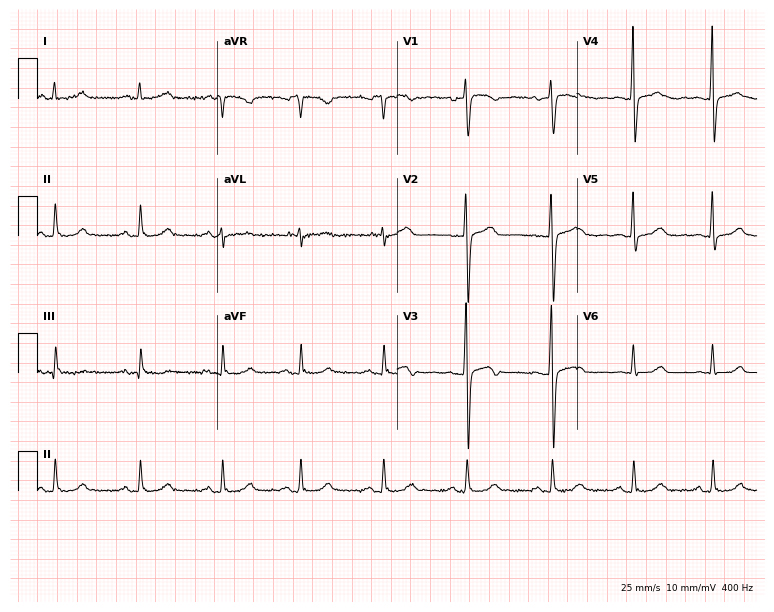
Resting 12-lead electrocardiogram. Patient: a female, 41 years old. Read as a normal ECG.